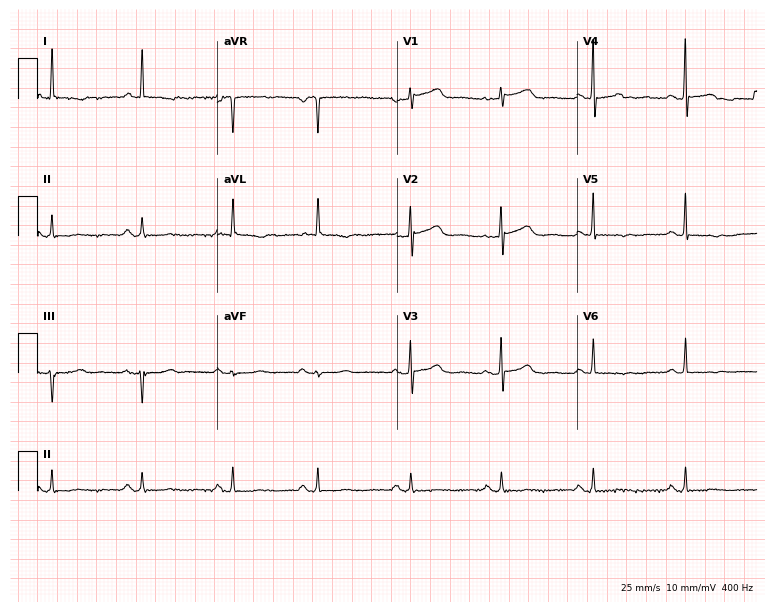
ECG (7.3-second recording at 400 Hz) — a 75-year-old female. Screened for six findings — first-degree AV block, right bundle branch block, left bundle branch block, sinus bradycardia, atrial fibrillation, sinus tachycardia — none is recorded.